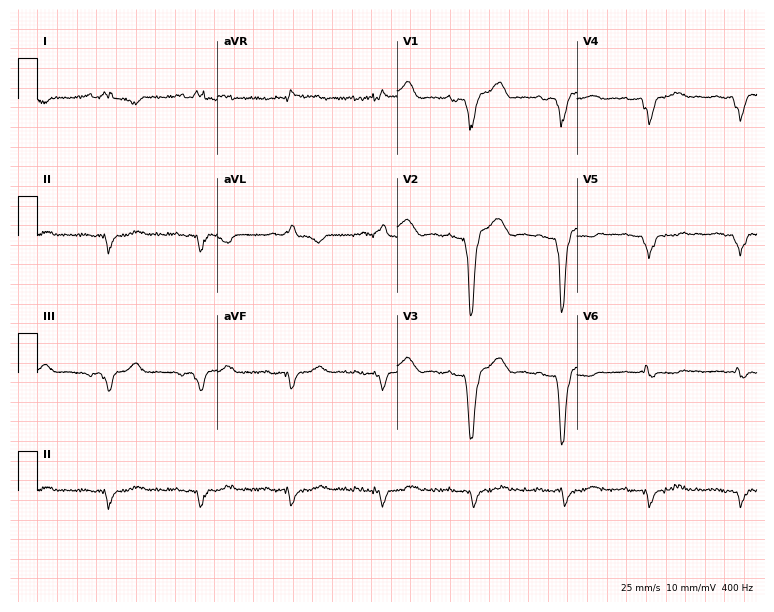
Electrocardiogram (7.3-second recording at 400 Hz), a male, 63 years old. Of the six screened findings (first-degree AV block, right bundle branch block, left bundle branch block, sinus bradycardia, atrial fibrillation, sinus tachycardia), none is recorded. Only these six findings were labelled.